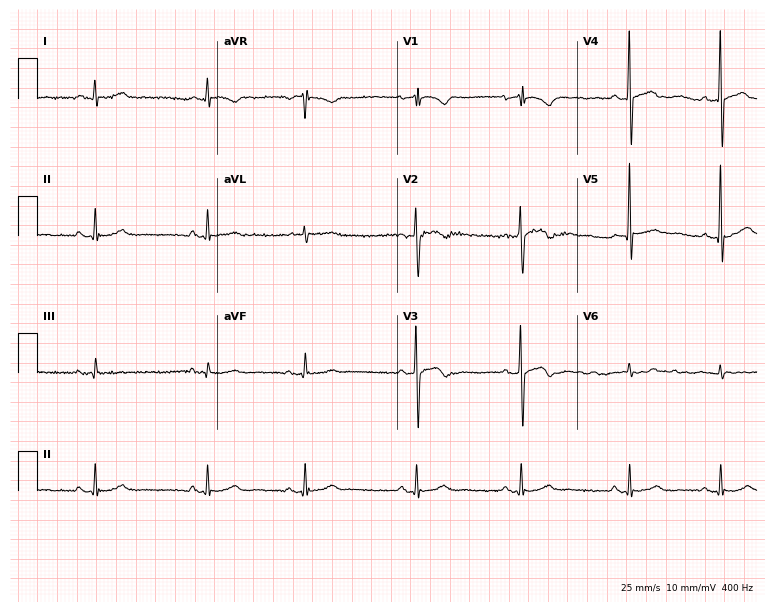
ECG (7.3-second recording at 400 Hz) — a male, 85 years old. Screened for six findings — first-degree AV block, right bundle branch block, left bundle branch block, sinus bradycardia, atrial fibrillation, sinus tachycardia — none is recorded. Other findings, if any, are not listed.